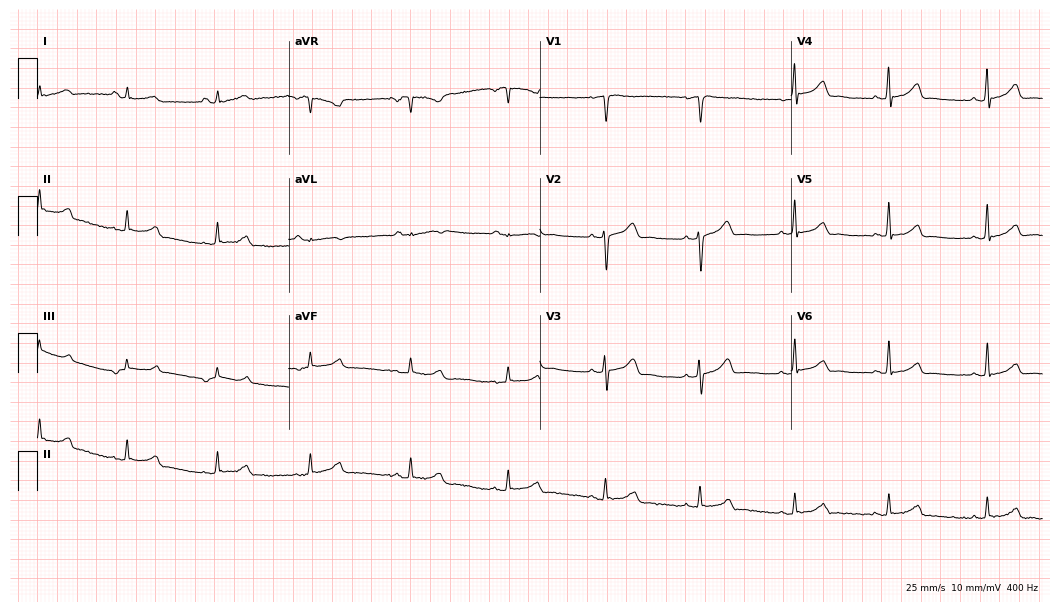
12-lead ECG from a female patient, 38 years old (10.2-second recording at 400 Hz). No first-degree AV block, right bundle branch block, left bundle branch block, sinus bradycardia, atrial fibrillation or sinus tachycardia recorded for this tracing.